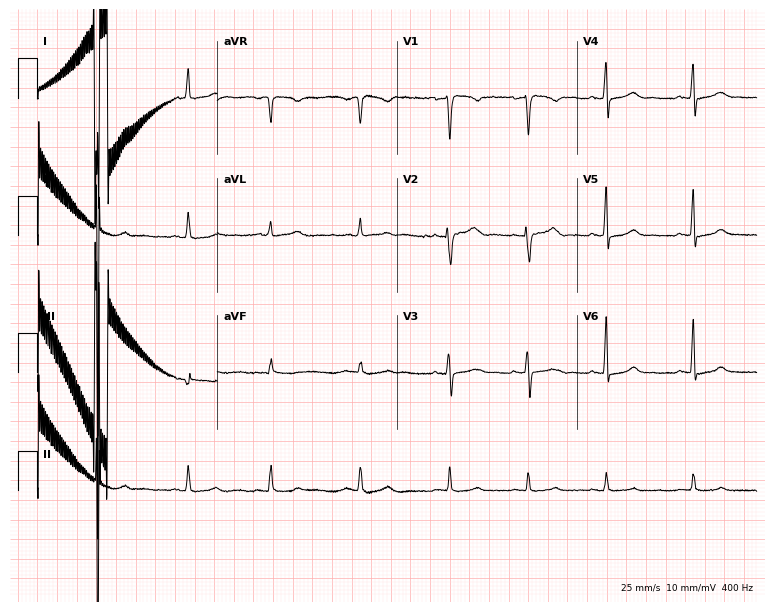
12-lead ECG from a 33-year-old female patient. No first-degree AV block, right bundle branch block (RBBB), left bundle branch block (LBBB), sinus bradycardia, atrial fibrillation (AF) or sinus tachycardia recorded for this tracing. Findings outside these six are not listed.